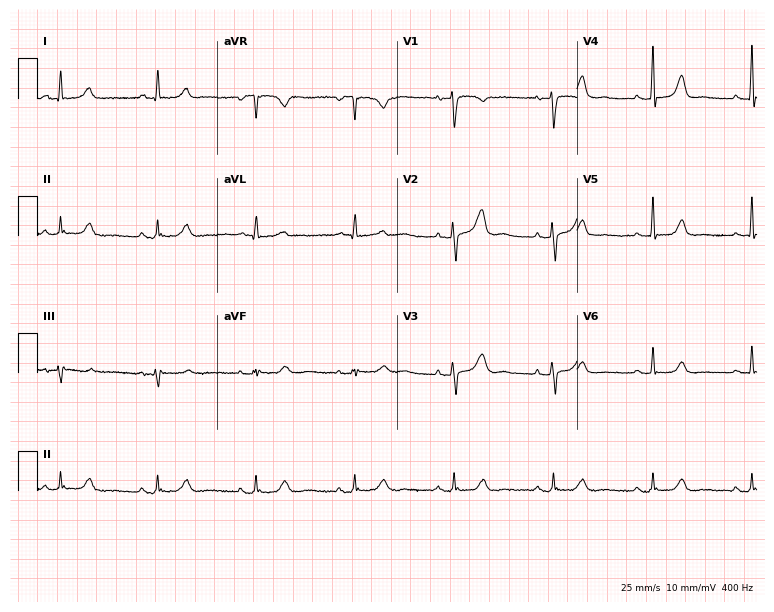
12-lead ECG from a 59-year-old woman (7.3-second recording at 400 Hz). Recorded interpretation: within normal limits.